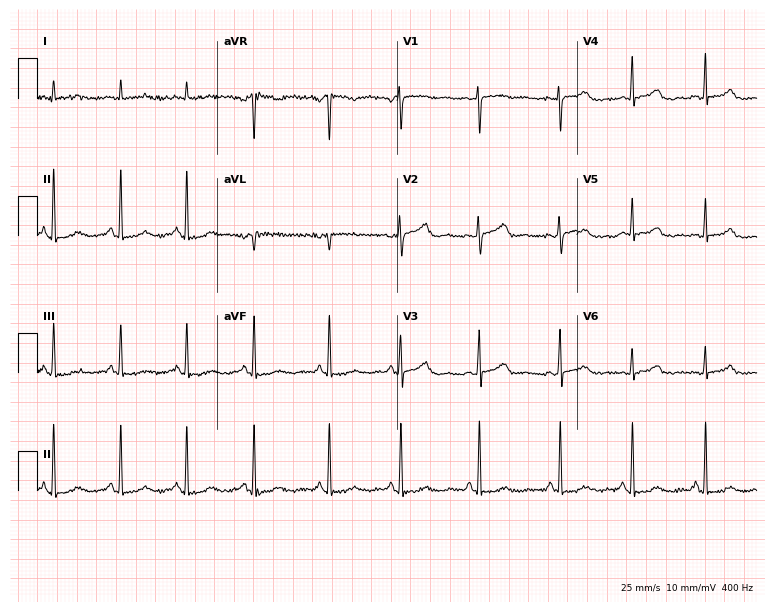
12-lead ECG from a 42-year-old woman (7.3-second recording at 400 Hz). Recorded interpretation: within normal limits.